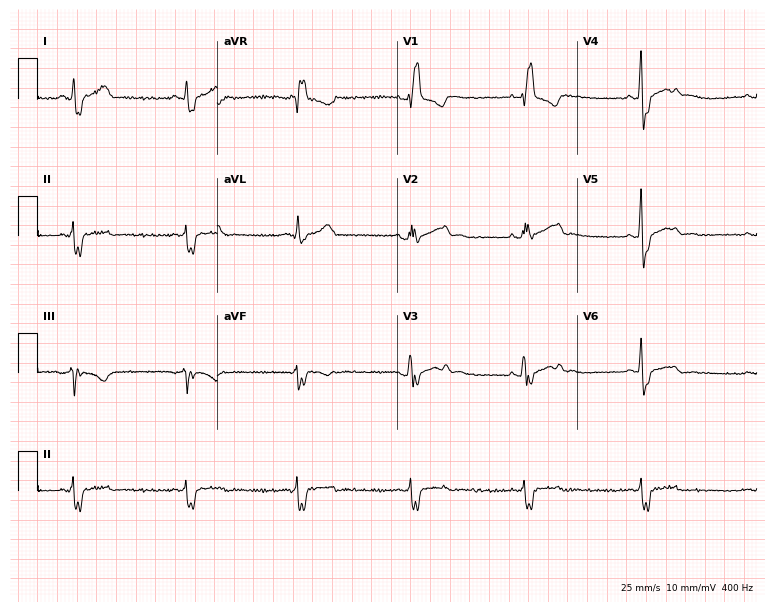
12-lead ECG from a male, 44 years old. Screened for six findings — first-degree AV block, right bundle branch block, left bundle branch block, sinus bradycardia, atrial fibrillation, sinus tachycardia — none is recorded.